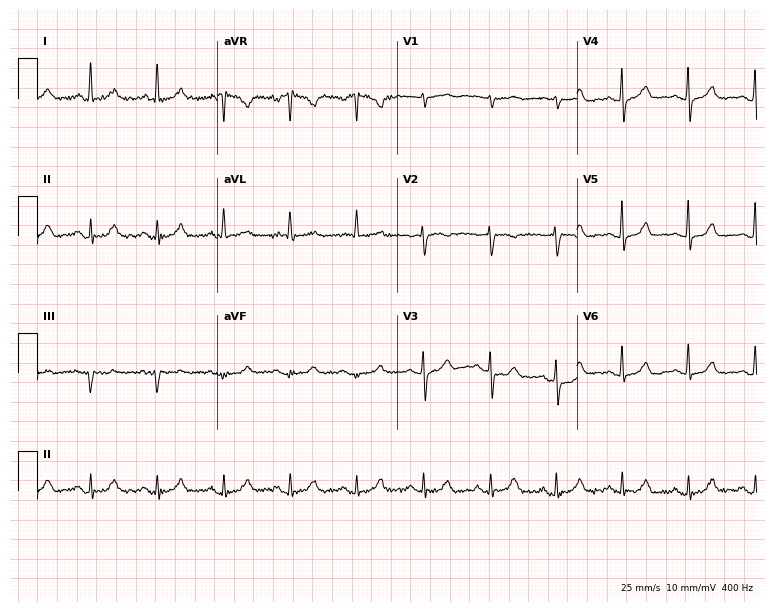
12-lead ECG (7.3-second recording at 400 Hz) from a female, 74 years old. Labelled as a normal ECG.